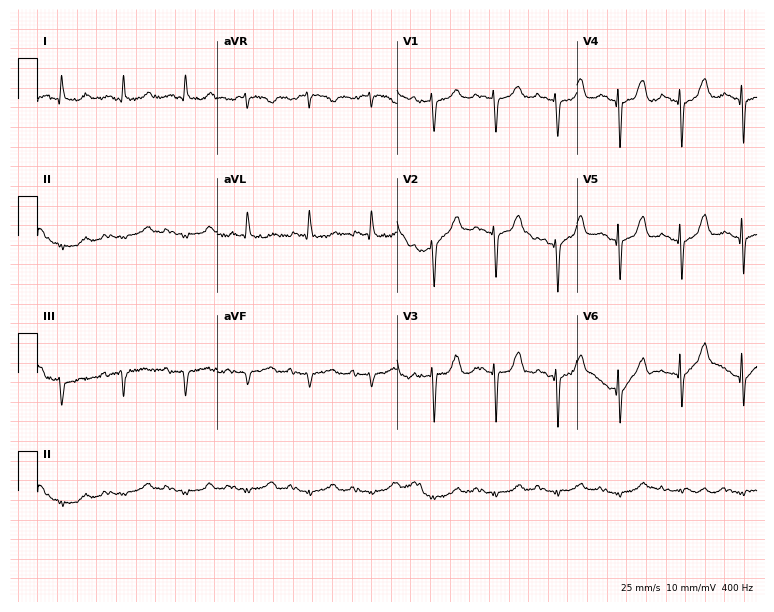
Resting 12-lead electrocardiogram (7.3-second recording at 400 Hz). Patient: a female, 81 years old. None of these six findings is recorded: first-degree AV block, right bundle branch block, left bundle branch block, sinus bradycardia, atrial fibrillation, sinus tachycardia. Only these six findings were labelled.